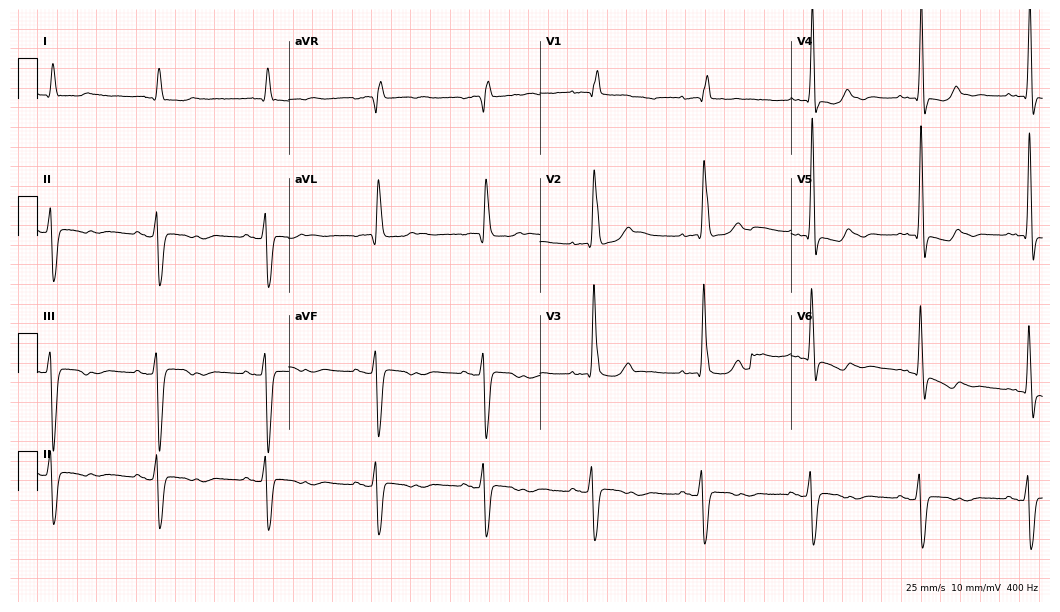
Standard 12-lead ECG recorded from an 80-year-old woman (10.2-second recording at 400 Hz). None of these six findings is recorded: first-degree AV block, right bundle branch block (RBBB), left bundle branch block (LBBB), sinus bradycardia, atrial fibrillation (AF), sinus tachycardia.